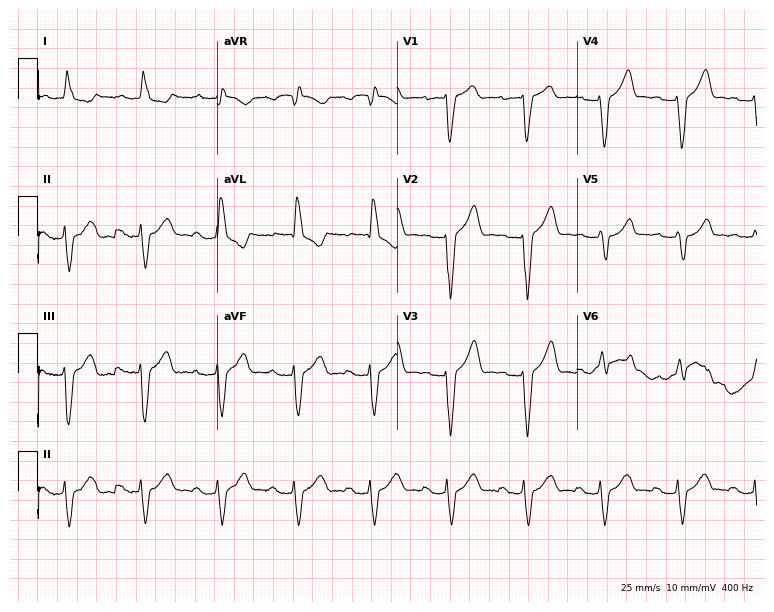
12-lead ECG from a female patient, 84 years old. Shows first-degree AV block.